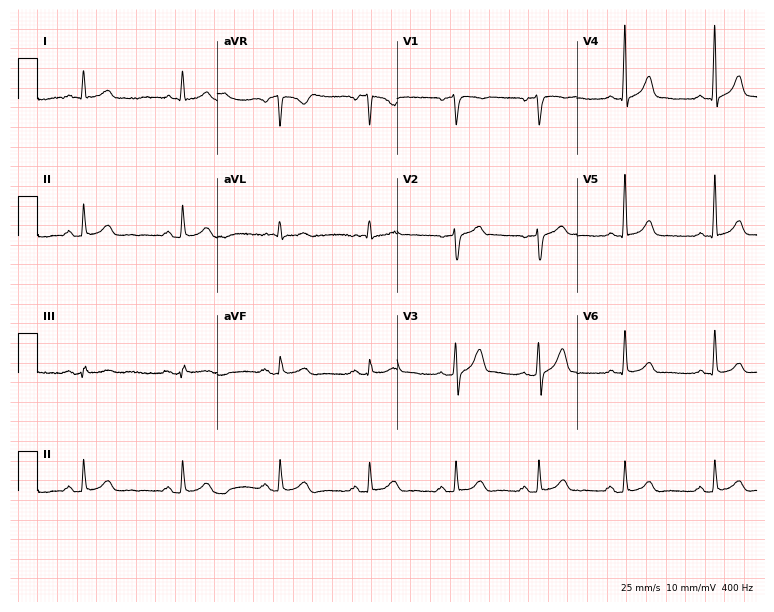
12-lead ECG (7.3-second recording at 400 Hz) from a 46-year-old man. Labelled as a normal ECG.